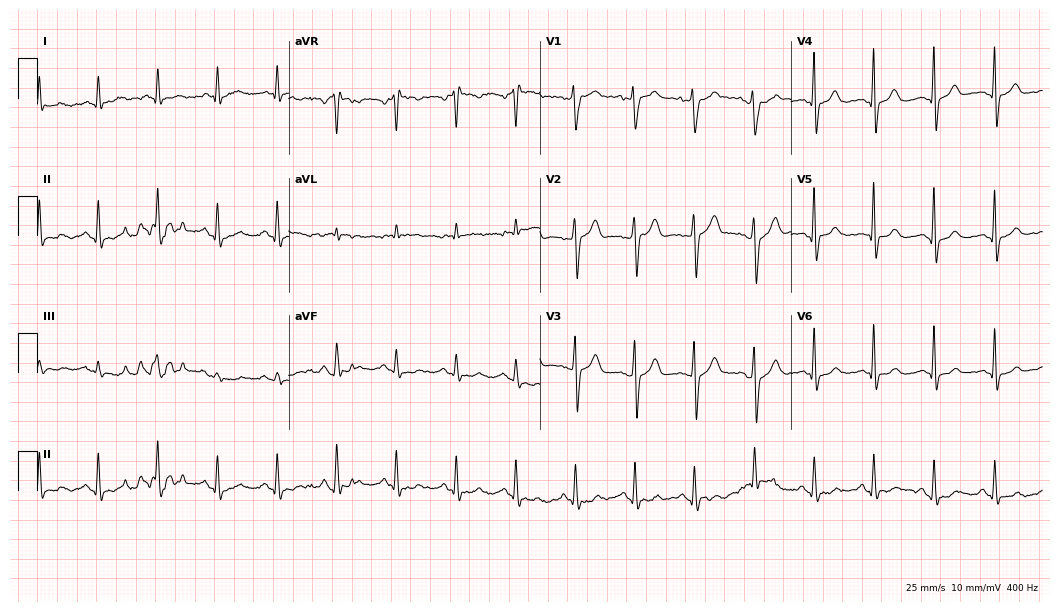
Resting 12-lead electrocardiogram. Patient: a 65-year-old male. Read as a normal ECG.